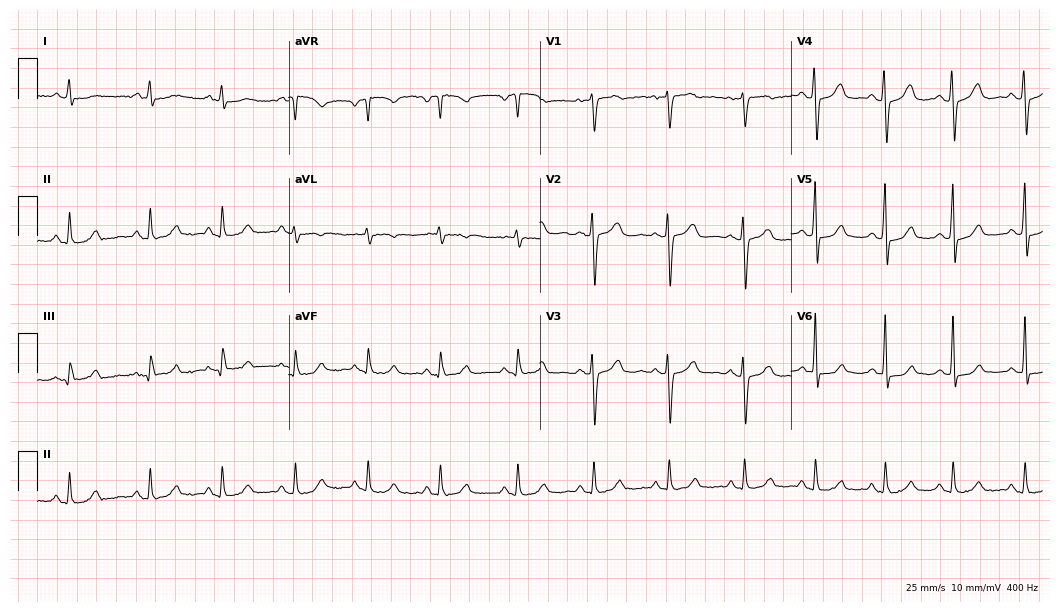
Electrocardiogram, a female, 46 years old. Of the six screened findings (first-degree AV block, right bundle branch block (RBBB), left bundle branch block (LBBB), sinus bradycardia, atrial fibrillation (AF), sinus tachycardia), none is recorded.